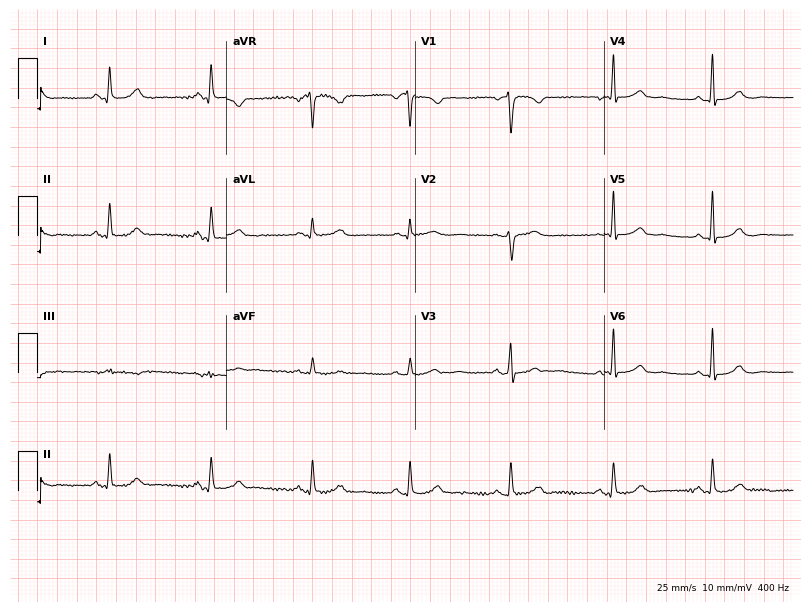
12-lead ECG from a 50-year-old female patient. Screened for six findings — first-degree AV block, right bundle branch block, left bundle branch block, sinus bradycardia, atrial fibrillation, sinus tachycardia — none is recorded.